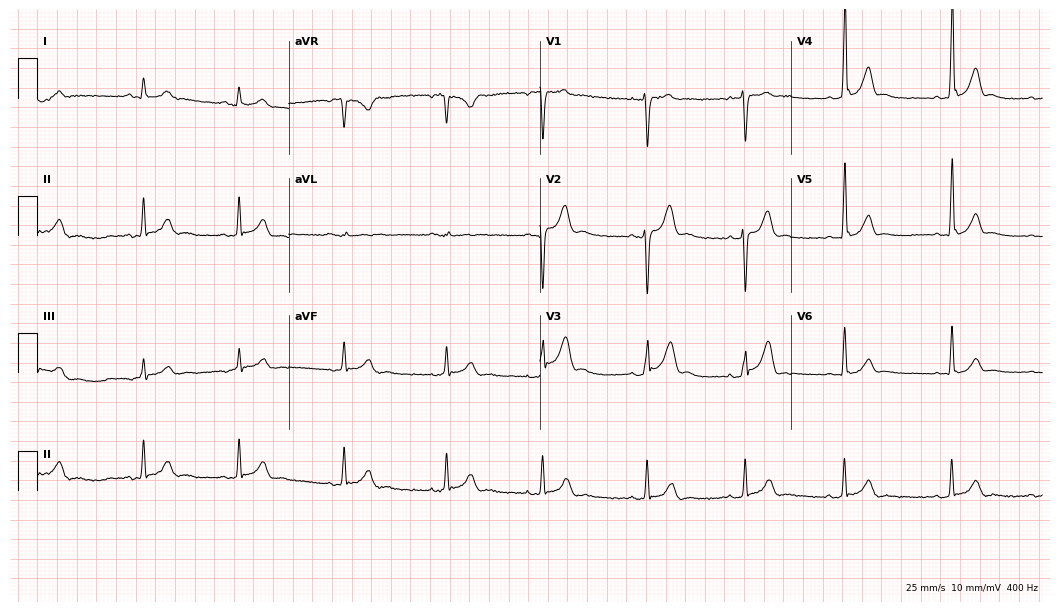
12-lead ECG from a 29-year-old man. Labelled as a normal ECG.